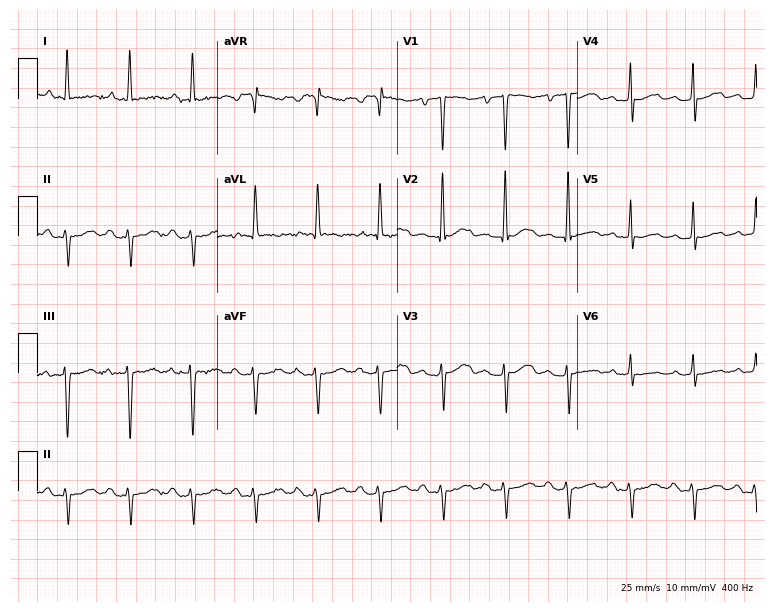
Electrocardiogram, a woman, 79 years old. Of the six screened findings (first-degree AV block, right bundle branch block (RBBB), left bundle branch block (LBBB), sinus bradycardia, atrial fibrillation (AF), sinus tachycardia), none is recorded.